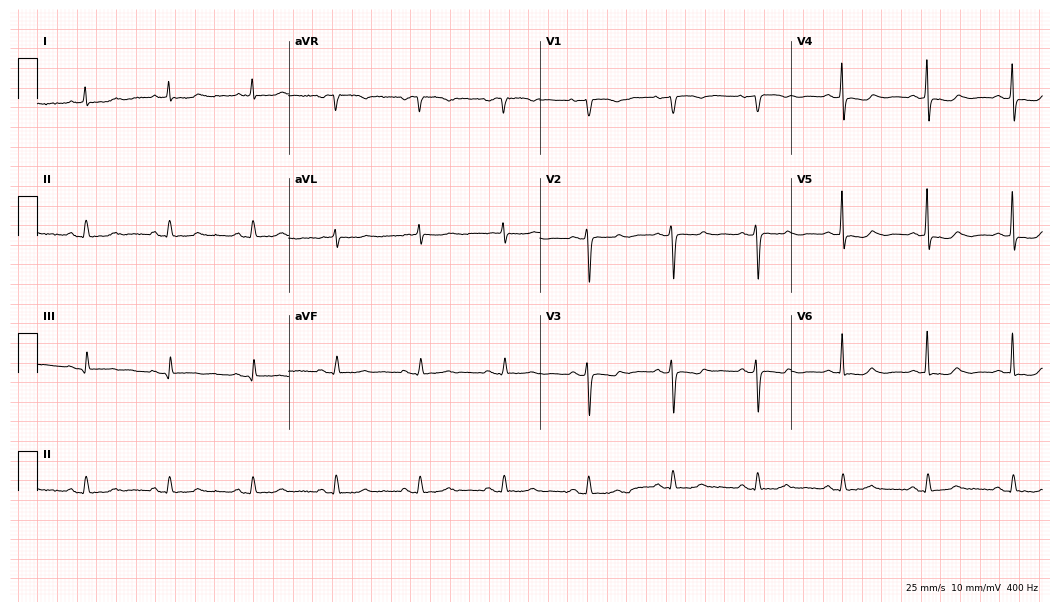
Resting 12-lead electrocardiogram (10.2-second recording at 400 Hz). Patient: an 84-year-old woman. None of these six findings is recorded: first-degree AV block, right bundle branch block, left bundle branch block, sinus bradycardia, atrial fibrillation, sinus tachycardia. Only these six findings were labelled.